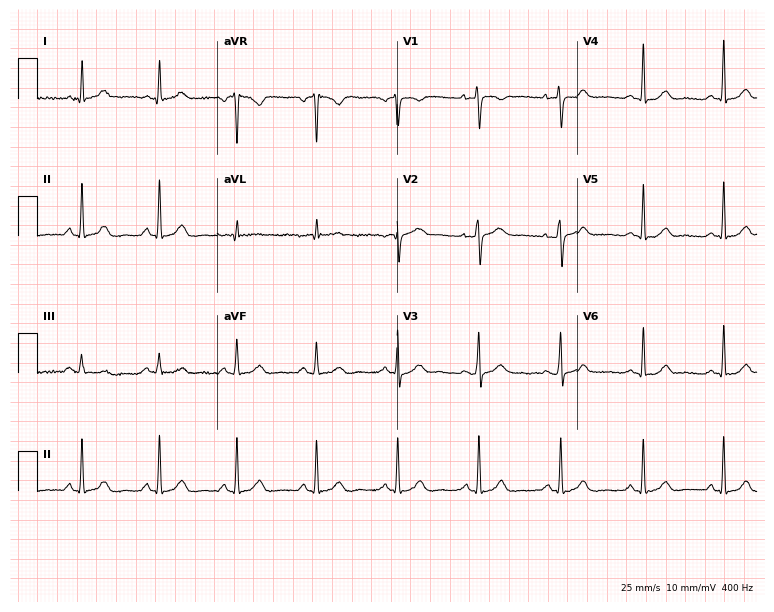
Resting 12-lead electrocardiogram. Patient: a 42-year-old female. Read as a normal ECG.